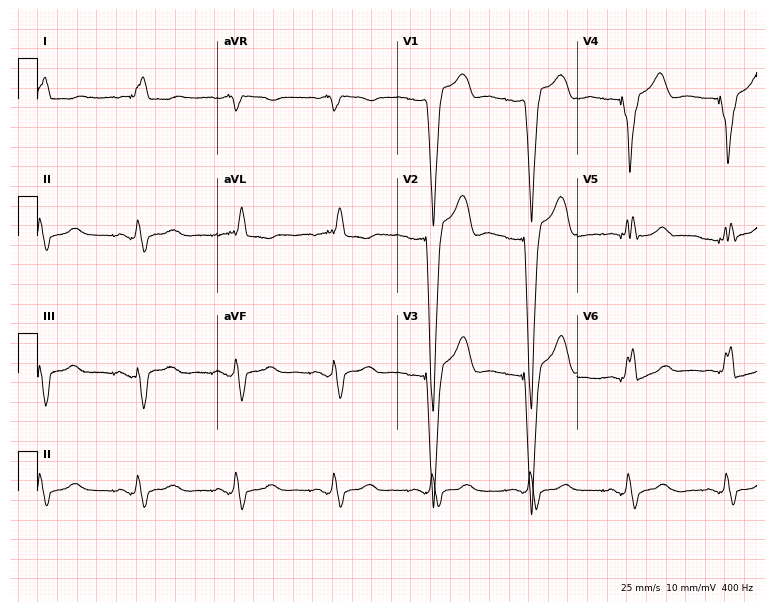
12-lead ECG from a female, 56 years old. No first-degree AV block, right bundle branch block (RBBB), left bundle branch block (LBBB), sinus bradycardia, atrial fibrillation (AF) or sinus tachycardia recorded for this tracing.